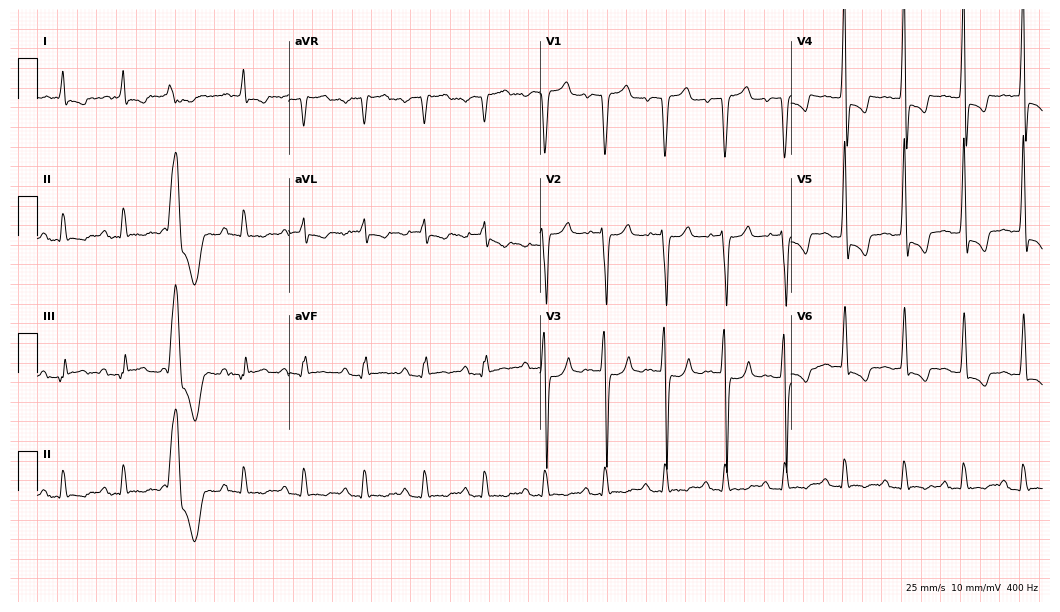
Electrocardiogram (10.2-second recording at 400 Hz), a female, 78 years old. Of the six screened findings (first-degree AV block, right bundle branch block, left bundle branch block, sinus bradycardia, atrial fibrillation, sinus tachycardia), none is recorded.